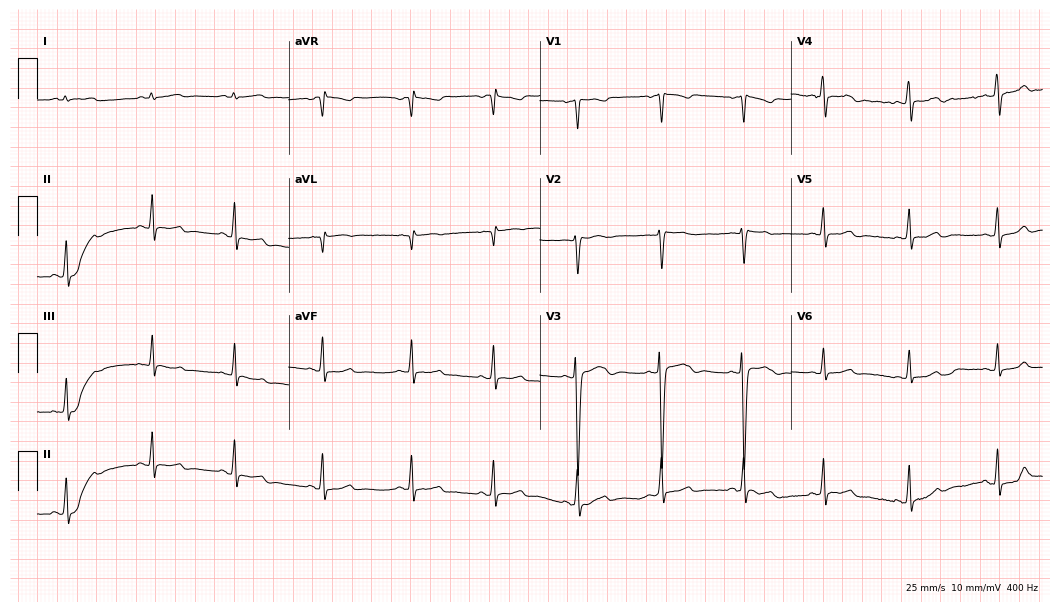
Resting 12-lead electrocardiogram. Patient: a woman, 23 years old. Read as a normal ECG.